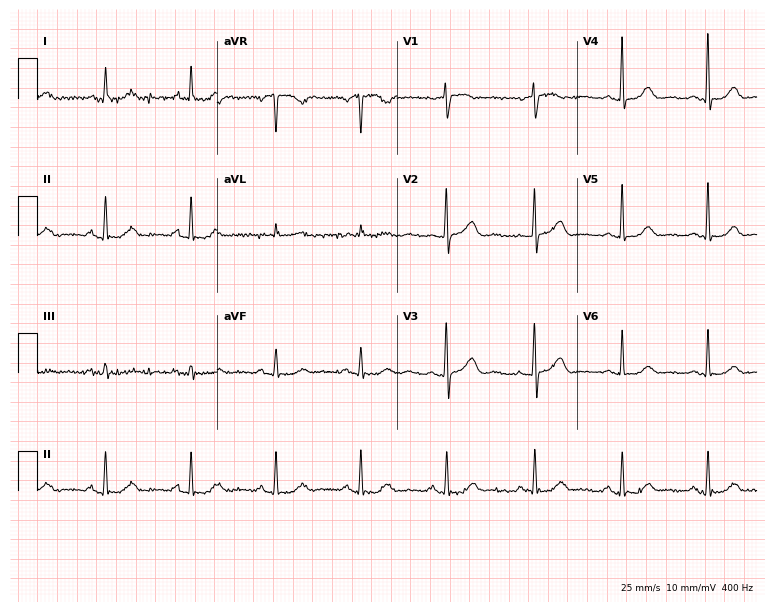
ECG (7.3-second recording at 400 Hz) — a female patient, 77 years old. Labelled as a normal ECG.